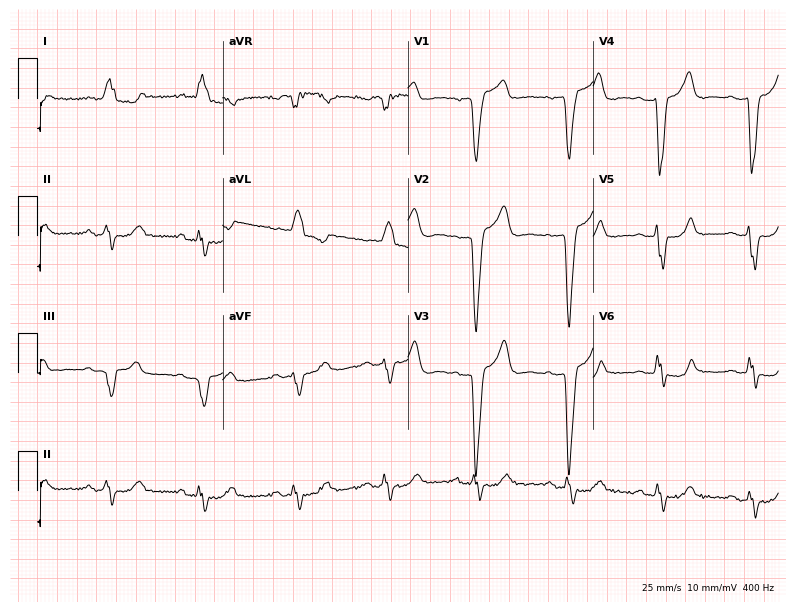
12-lead ECG (7.6-second recording at 400 Hz) from a 72-year-old female. Screened for six findings — first-degree AV block, right bundle branch block (RBBB), left bundle branch block (LBBB), sinus bradycardia, atrial fibrillation (AF), sinus tachycardia — none is recorded. Only these six findings were labelled.